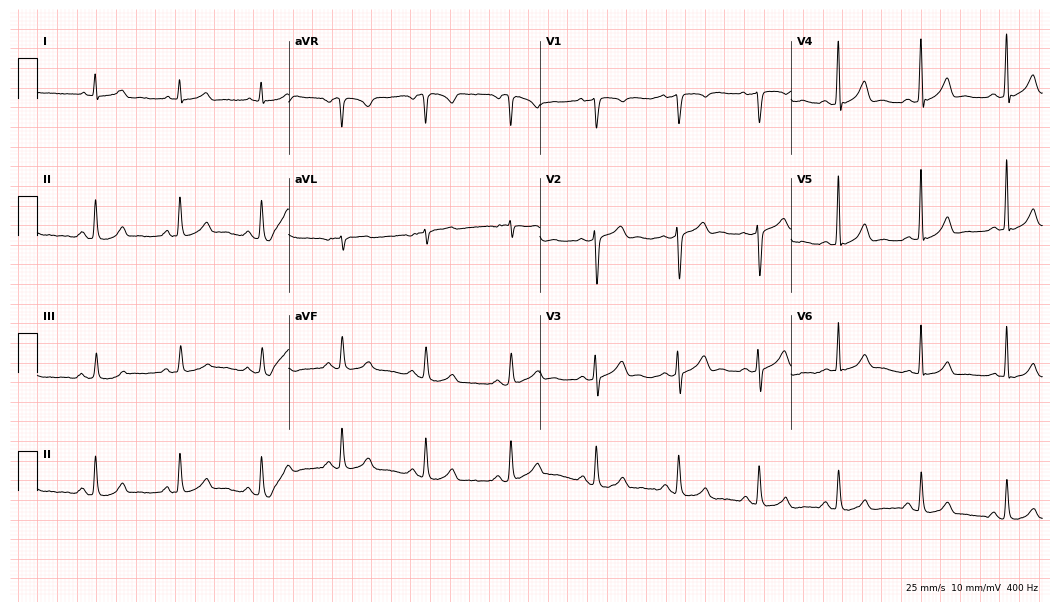
12-lead ECG (10.2-second recording at 400 Hz) from a man, 43 years old. Labelled as a normal ECG.